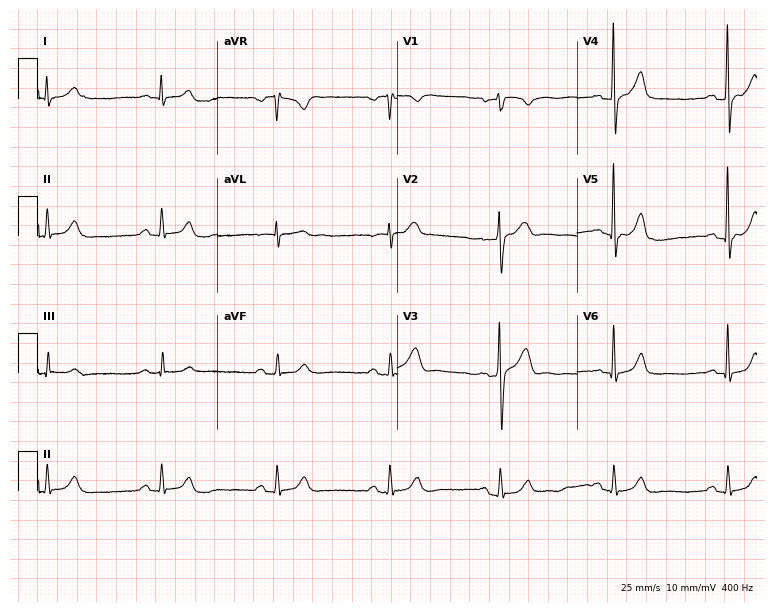
Resting 12-lead electrocardiogram. Patient: a 43-year-old male. Read as a normal ECG.